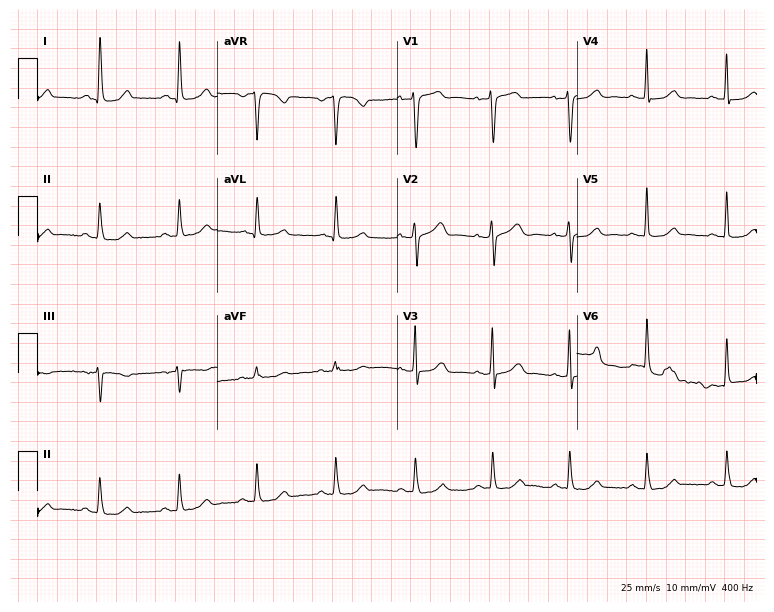
ECG — a 52-year-old female. Screened for six findings — first-degree AV block, right bundle branch block, left bundle branch block, sinus bradycardia, atrial fibrillation, sinus tachycardia — none is recorded. Only these six findings were labelled.